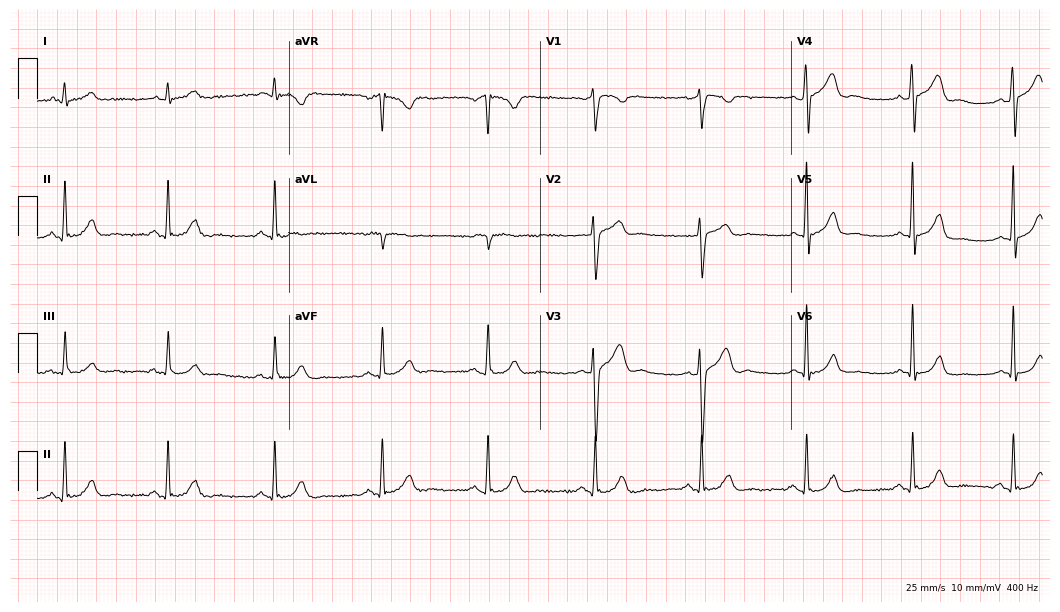
12-lead ECG from a woman, 57 years old. Recorded interpretation: within normal limits.